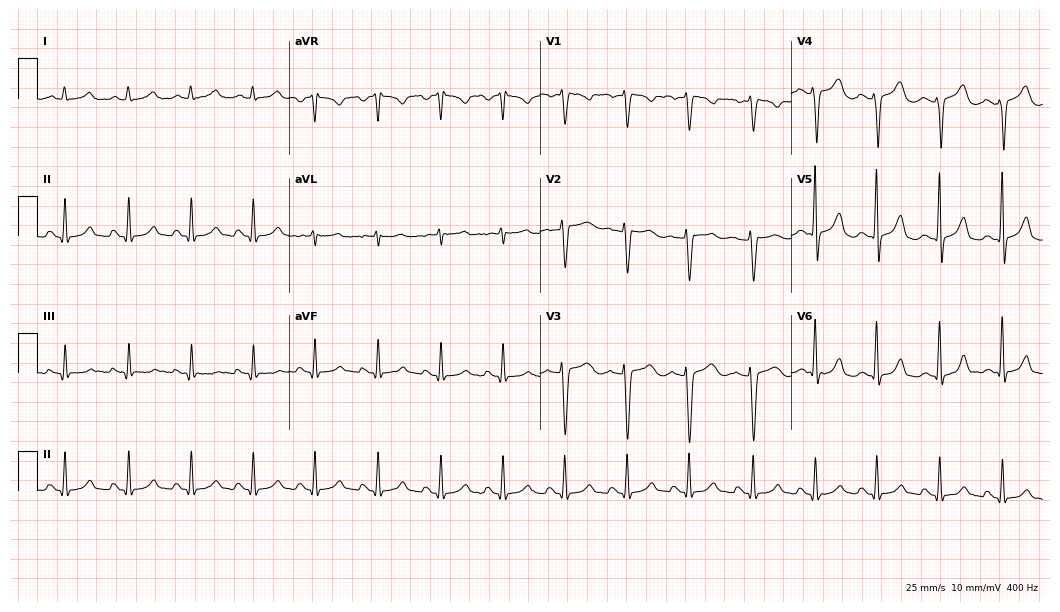
Resting 12-lead electrocardiogram. Patient: a female, 31 years old. Read as a normal ECG.